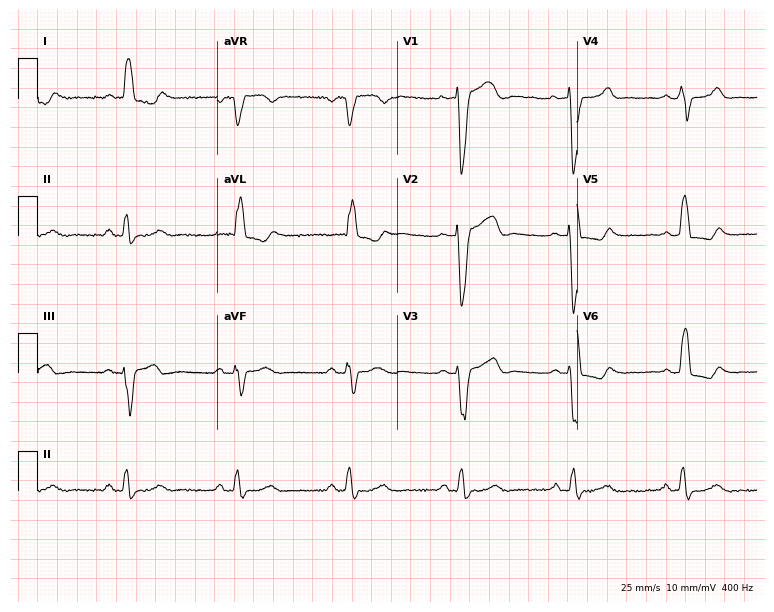
ECG — a 79-year-old female patient. Findings include left bundle branch block.